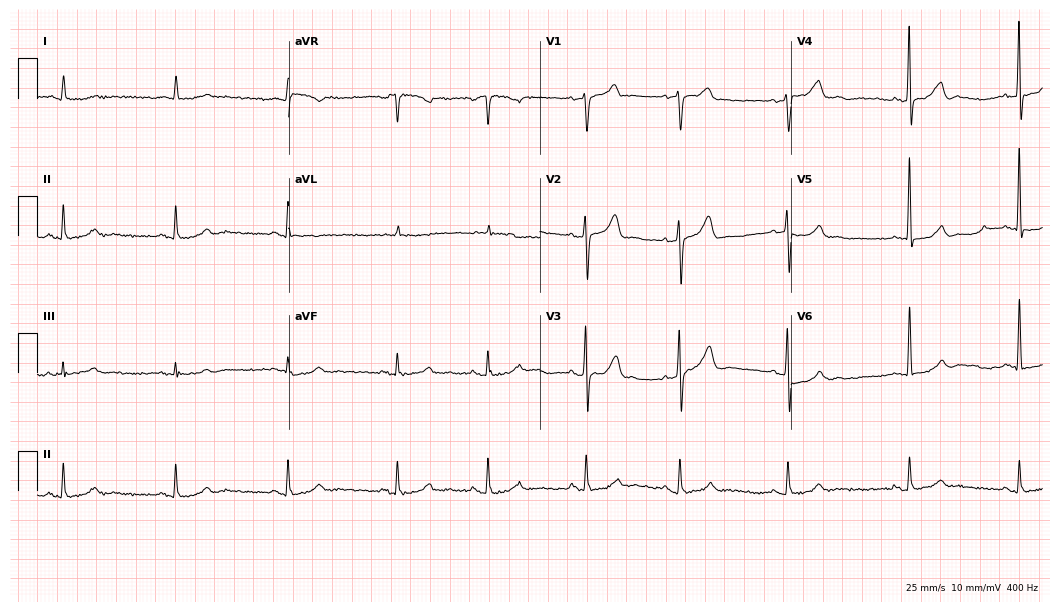
12-lead ECG (10.2-second recording at 400 Hz) from a male patient, 72 years old. Labelled as a normal ECG.